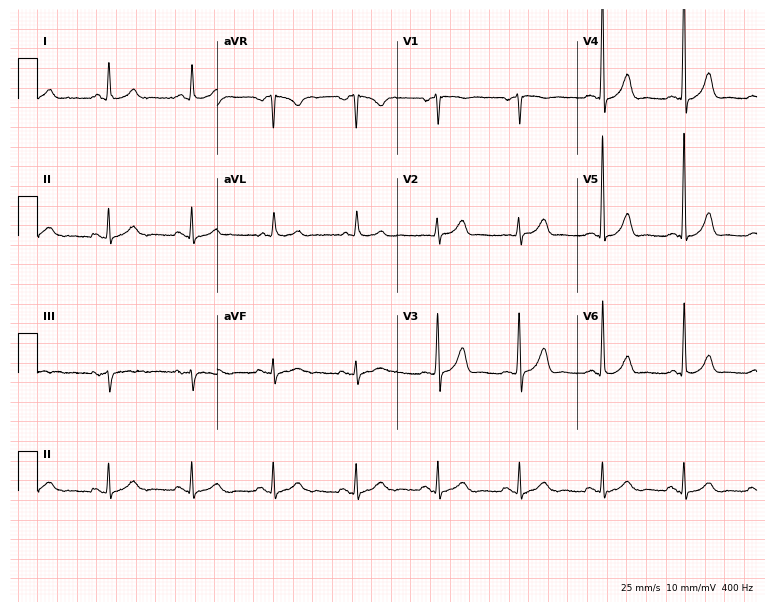
Standard 12-lead ECG recorded from a female patient, 82 years old. Read as a normal ECG.